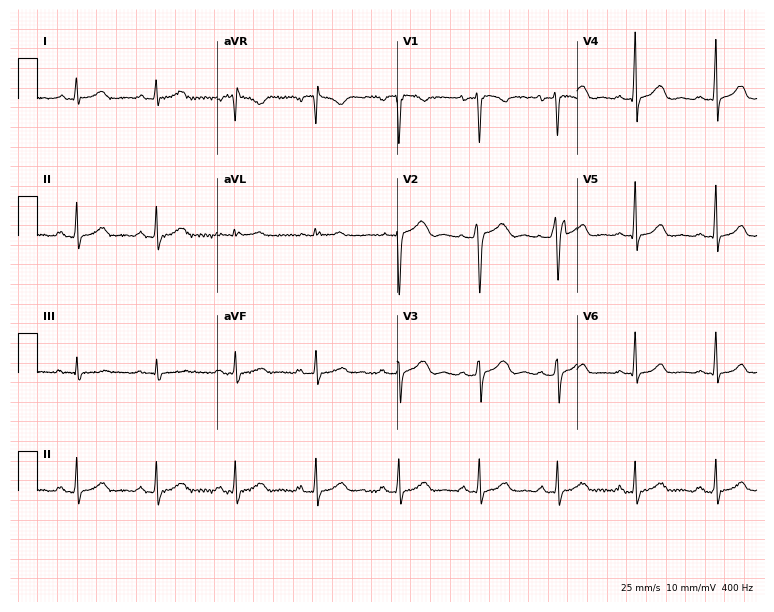
Standard 12-lead ECG recorded from a female, 35 years old (7.3-second recording at 400 Hz). Read as a normal ECG.